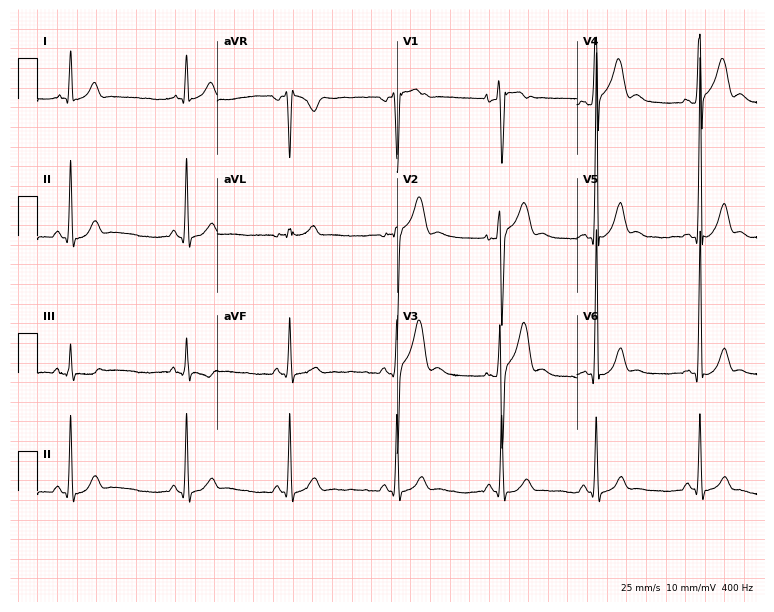
12-lead ECG (7.3-second recording at 400 Hz) from a man, 19 years old. Labelled as a normal ECG.